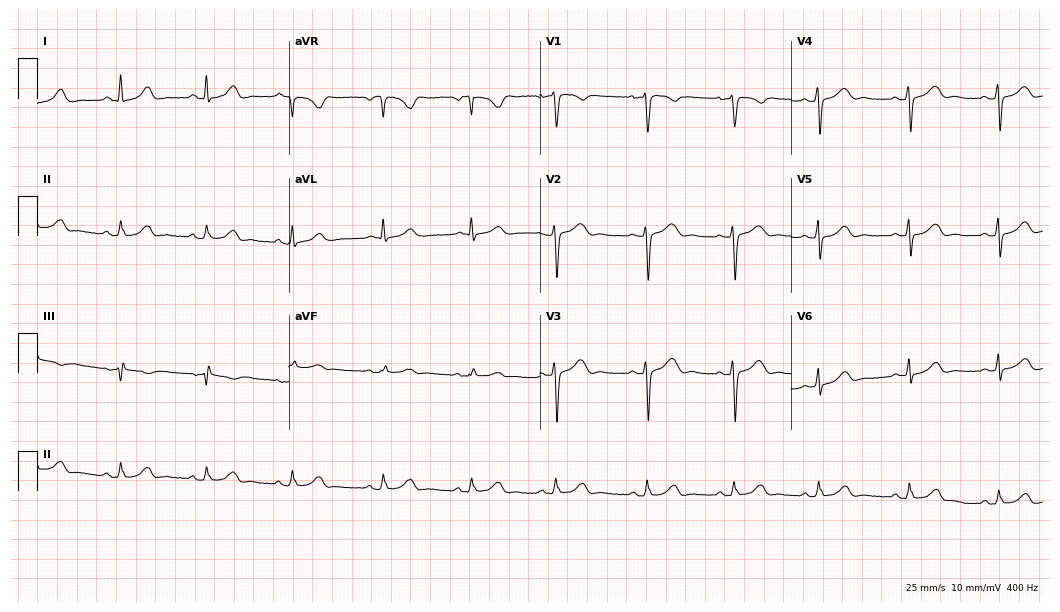
ECG — a 34-year-old woman. Screened for six findings — first-degree AV block, right bundle branch block (RBBB), left bundle branch block (LBBB), sinus bradycardia, atrial fibrillation (AF), sinus tachycardia — none is recorded.